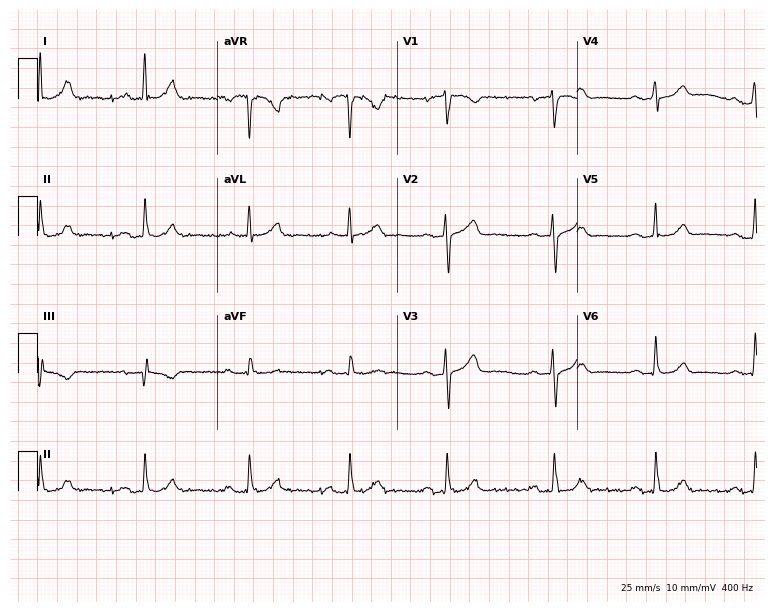
Standard 12-lead ECG recorded from a female patient, 62 years old. The tracing shows first-degree AV block.